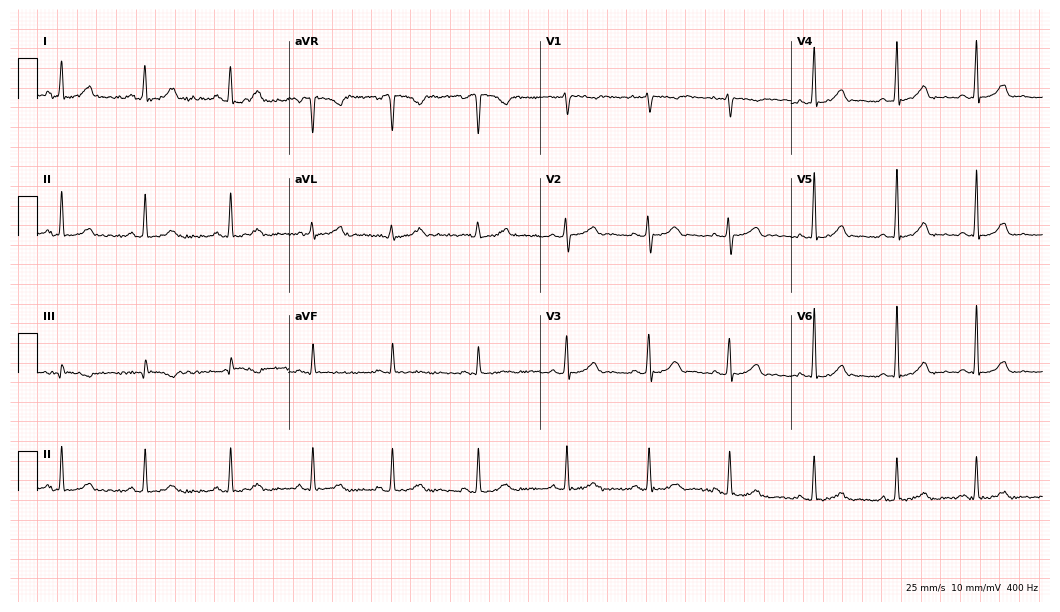
12-lead ECG from a female patient, 30 years old (10.2-second recording at 400 Hz). Recorded interpretation: within normal limits.